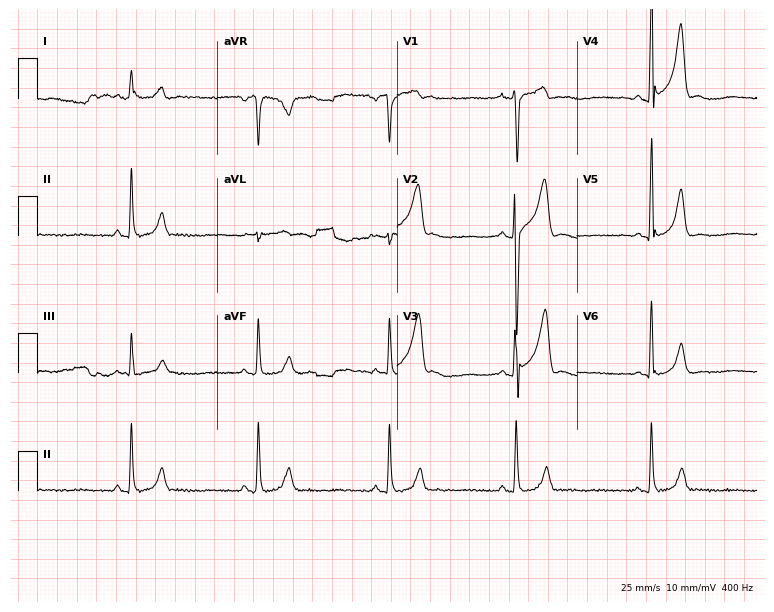
Electrocardiogram (7.3-second recording at 400 Hz), a male patient, 22 years old. Interpretation includes sinus bradycardia (a sinus rate of 50 beats per minute or less).